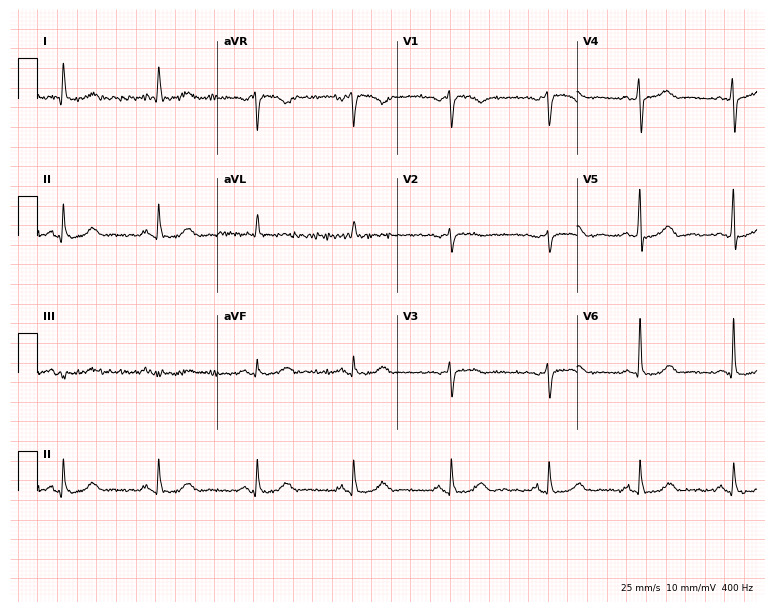
12-lead ECG from a woman, 68 years old. Labelled as a normal ECG.